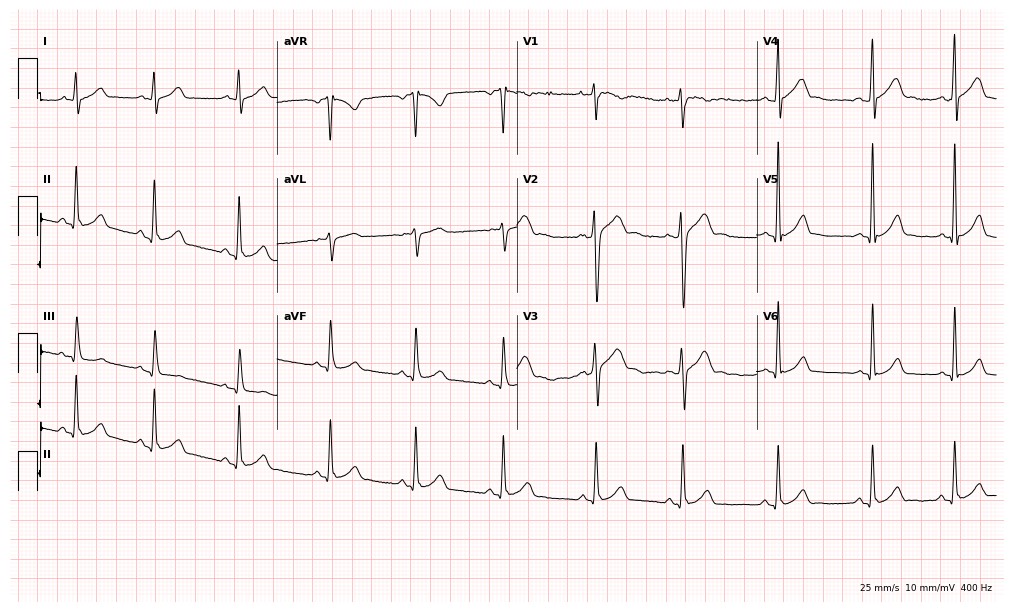
Electrocardiogram (9.8-second recording at 400 Hz), a man, 17 years old. Overall reading on record: normal ECG.